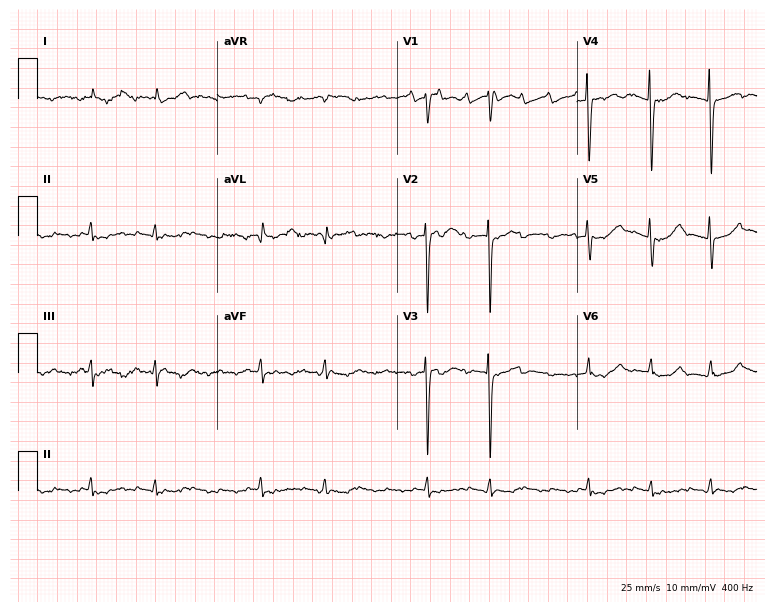
12-lead ECG from an 83-year-old female. No first-degree AV block, right bundle branch block, left bundle branch block, sinus bradycardia, atrial fibrillation or sinus tachycardia recorded for this tracing.